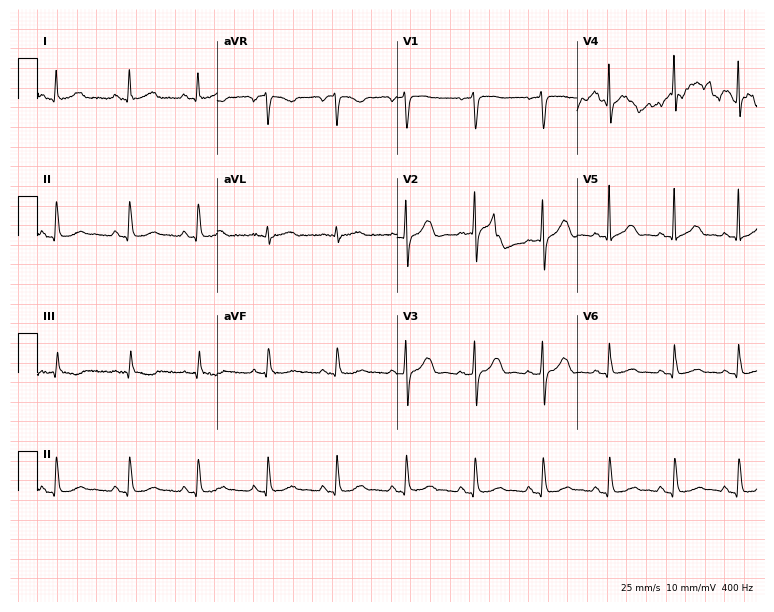
Electrocardiogram (7.3-second recording at 400 Hz), a female, 42 years old. Overall reading on record: normal ECG.